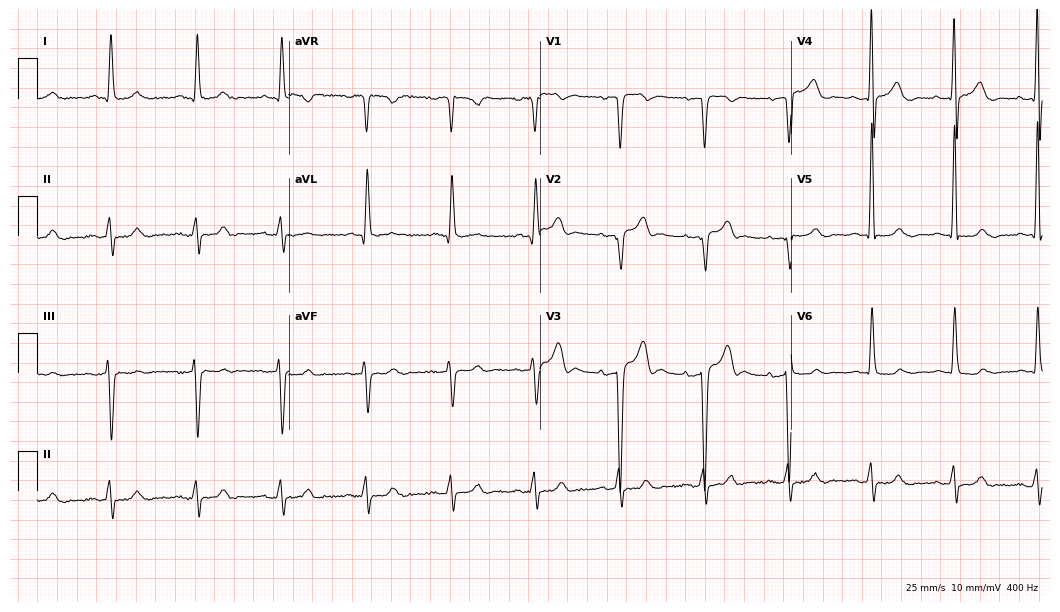
12-lead ECG from a 42-year-old man (10.2-second recording at 400 Hz). No first-degree AV block, right bundle branch block, left bundle branch block, sinus bradycardia, atrial fibrillation or sinus tachycardia recorded for this tracing. Findings outside these six are not listed.